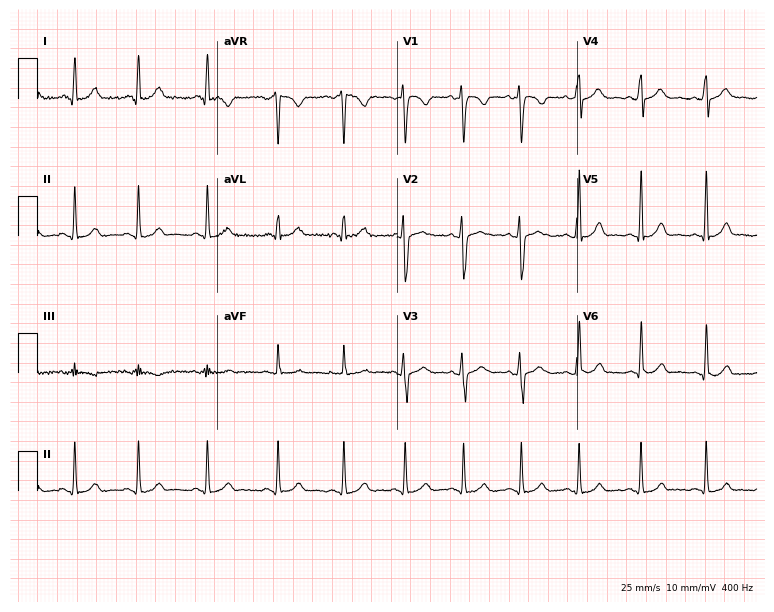
Standard 12-lead ECG recorded from a woman, 23 years old. None of these six findings is recorded: first-degree AV block, right bundle branch block (RBBB), left bundle branch block (LBBB), sinus bradycardia, atrial fibrillation (AF), sinus tachycardia. Other findings, if any, are not listed.